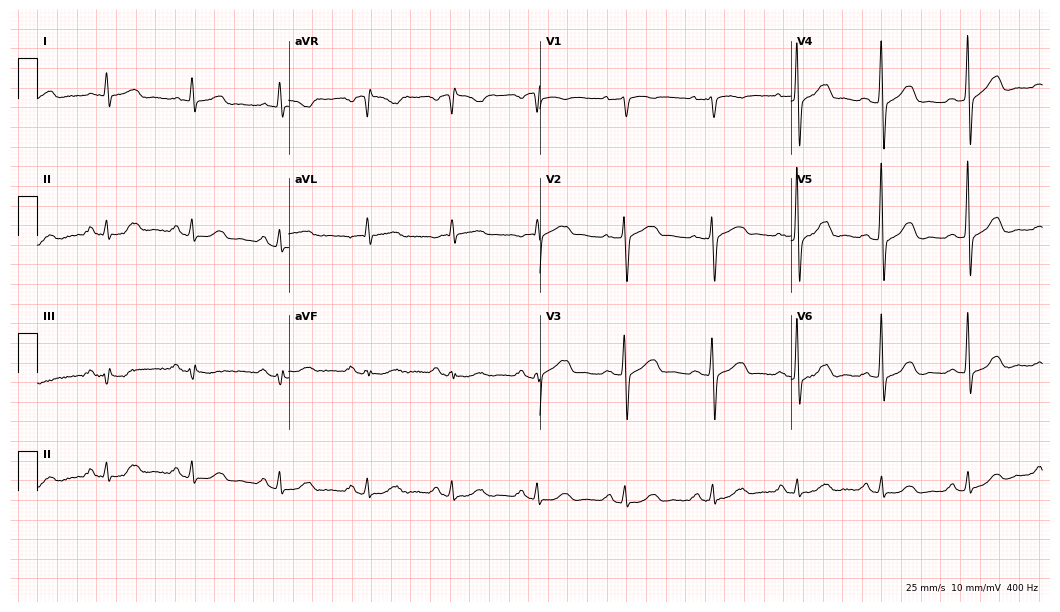
Resting 12-lead electrocardiogram. Patient: a 59-year-old man. None of these six findings is recorded: first-degree AV block, right bundle branch block, left bundle branch block, sinus bradycardia, atrial fibrillation, sinus tachycardia.